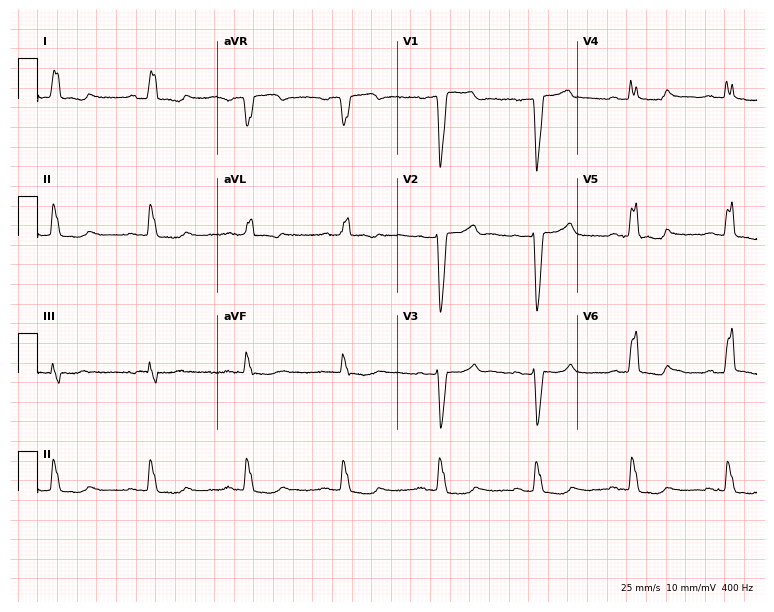
12-lead ECG from a woman, 77 years old (7.3-second recording at 400 Hz). Shows left bundle branch block.